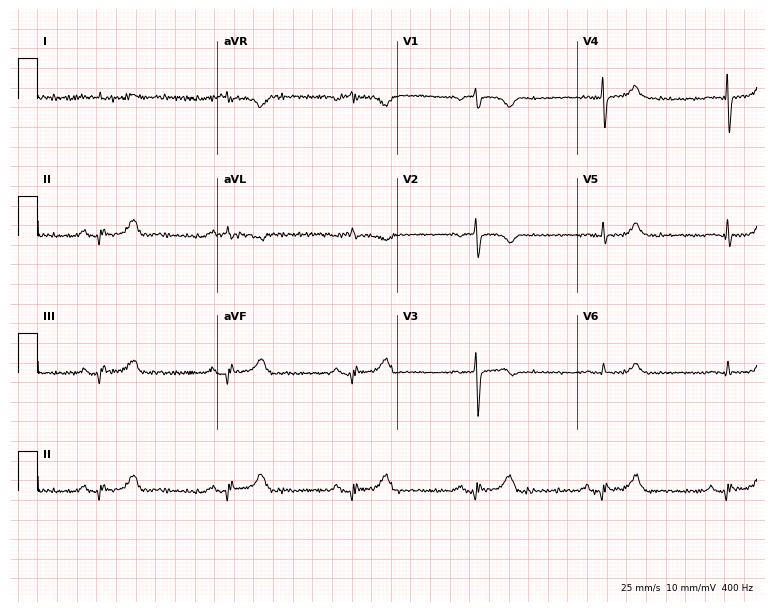
ECG — a 67-year-old man. Findings include sinus bradycardia (a sinus rate of 50 beats per minute or less).